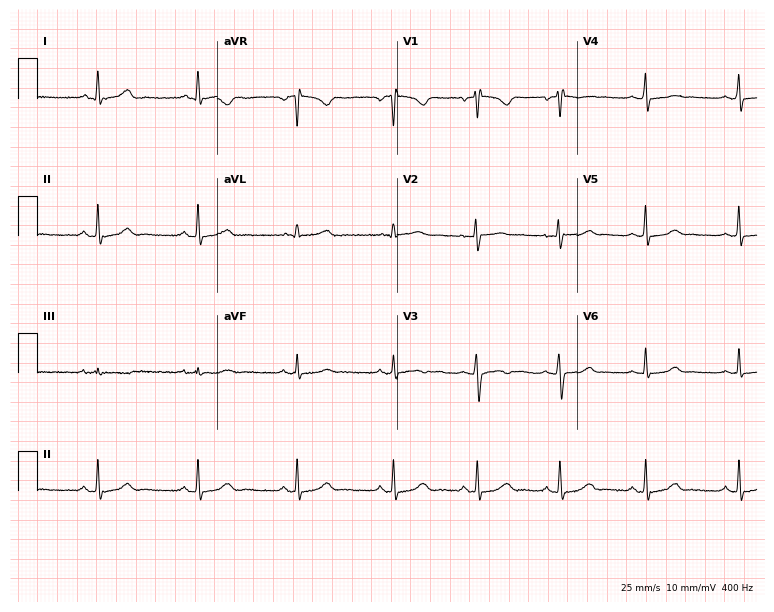
12-lead ECG from a female patient, 33 years old (7.3-second recording at 400 Hz). No first-degree AV block, right bundle branch block, left bundle branch block, sinus bradycardia, atrial fibrillation or sinus tachycardia recorded for this tracing.